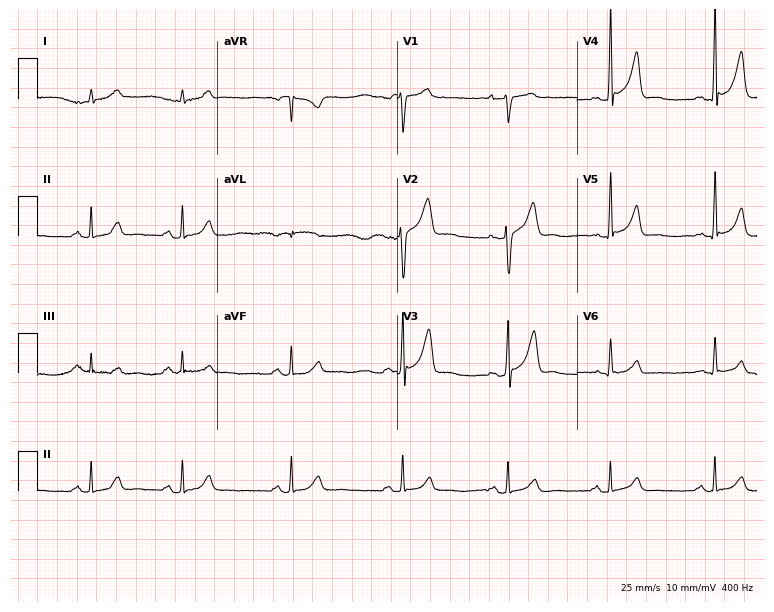
Electrocardiogram (7.3-second recording at 400 Hz), a 38-year-old man. Of the six screened findings (first-degree AV block, right bundle branch block (RBBB), left bundle branch block (LBBB), sinus bradycardia, atrial fibrillation (AF), sinus tachycardia), none is recorded. Other findings, if any, are not listed.